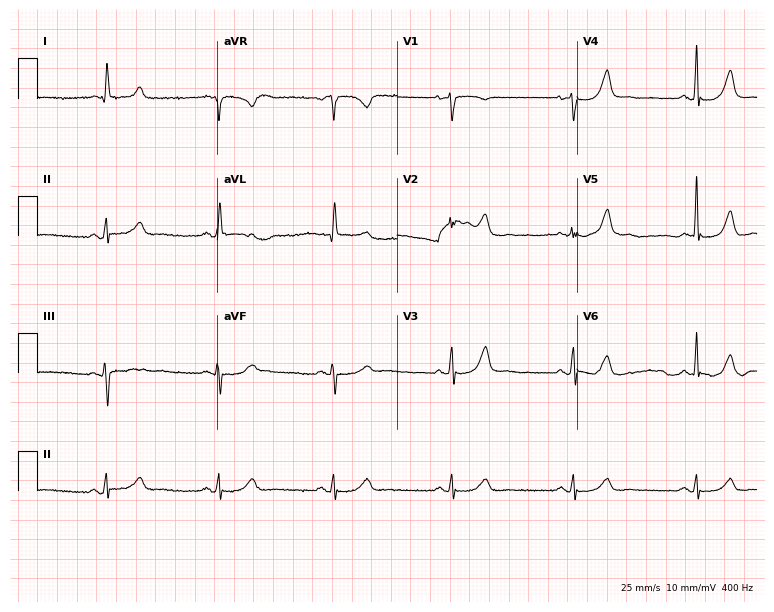
Electrocardiogram, a female patient, 67 years old. Of the six screened findings (first-degree AV block, right bundle branch block, left bundle branch block, sinus bradycardia, atrial fibrillation, sinus tachycardia), none is recorded. Only these six findings were labelled.